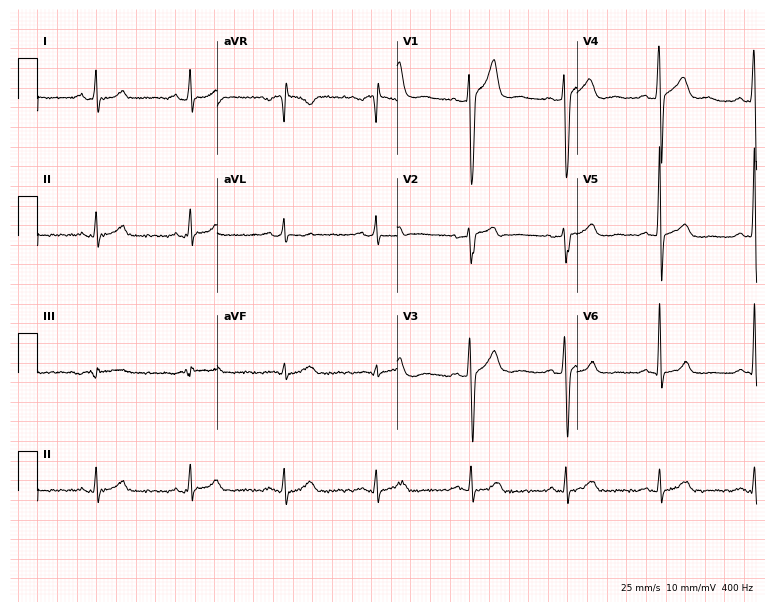
12-lead ECG from a male, 44 years old. Recorded interpretation: within normal limits.